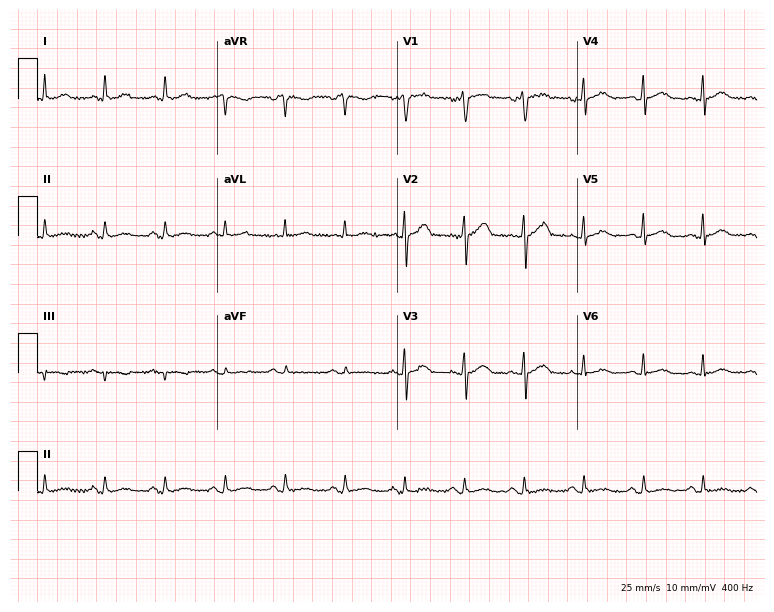
12-lead ECG (7.3-second recording at 400 Hz) from a man, 51 years old. Screened for six findings — first-degree AV block, right bundle branch block, left bundle branch block, sinus bradycardia, atrial fibrillation, sinus tachycardia — none is recorded.